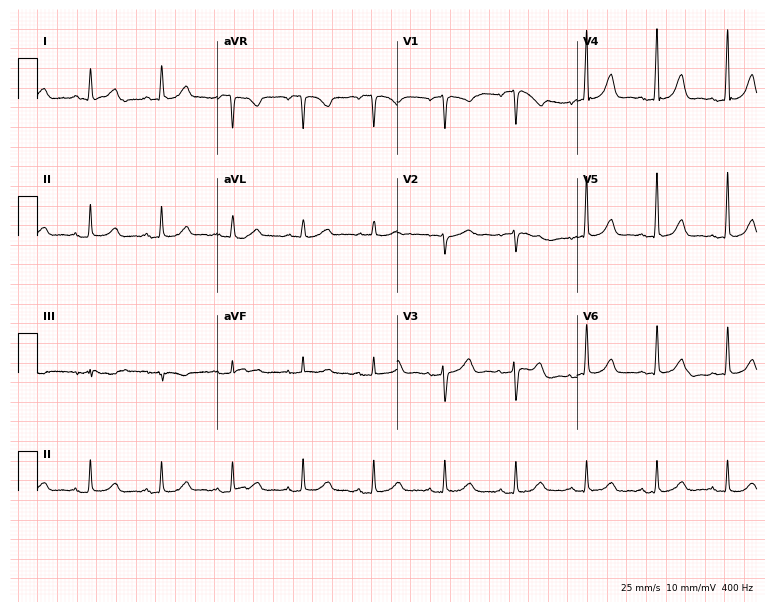
ECG — a 70-year-old woman. Screened for six findings — first-degree AV block, right bundle branch block, left bundle branch block, sinus bradycardia, atrial fibrillation, sinus tachycardia — none is recorded.